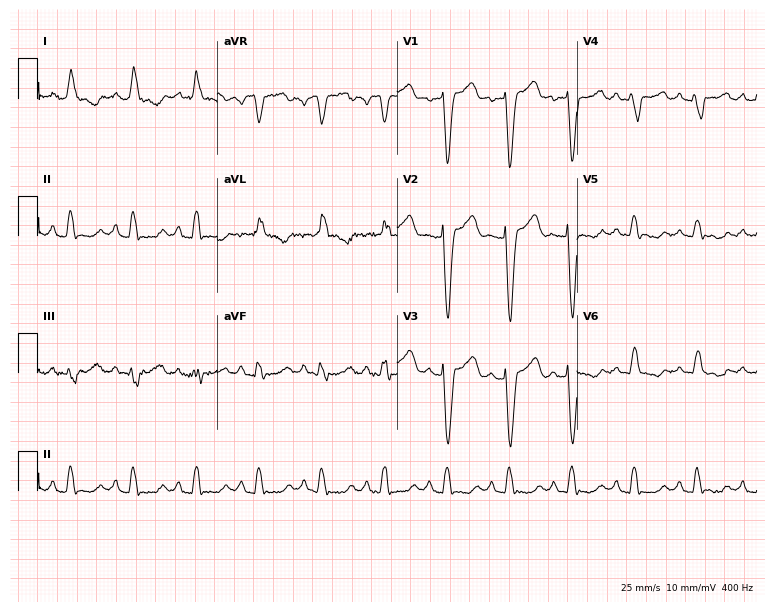
Electrocardiogram (7.3-second recording at 400 Hz), a 58-year-old woman. Interpretation includes left bundle branch block.